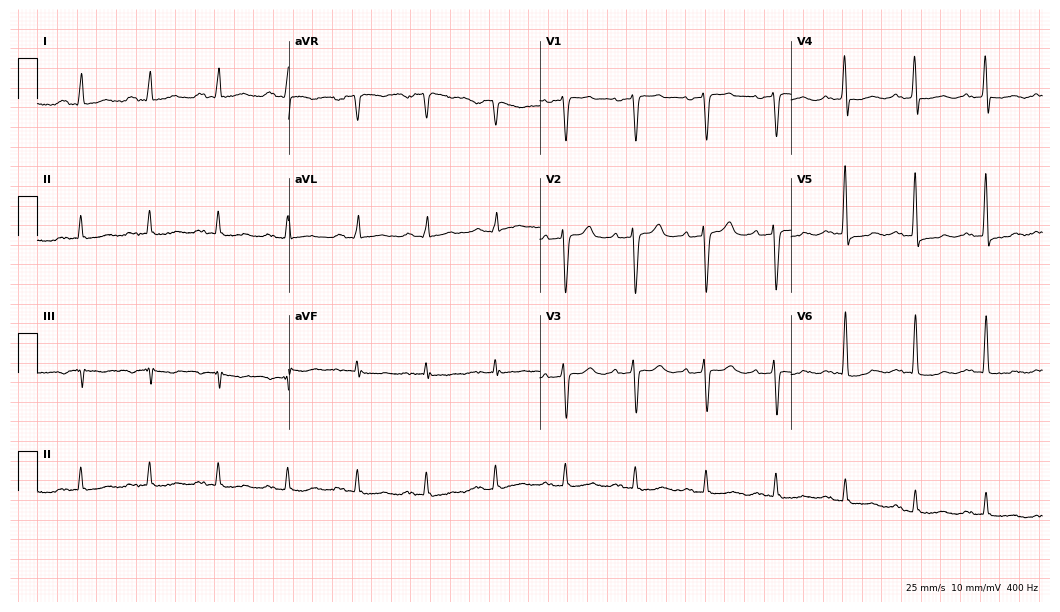
Resting 12-lead electrocardiogram. Patient: a 55-year-old man. The tracing shows first-degree AV block.